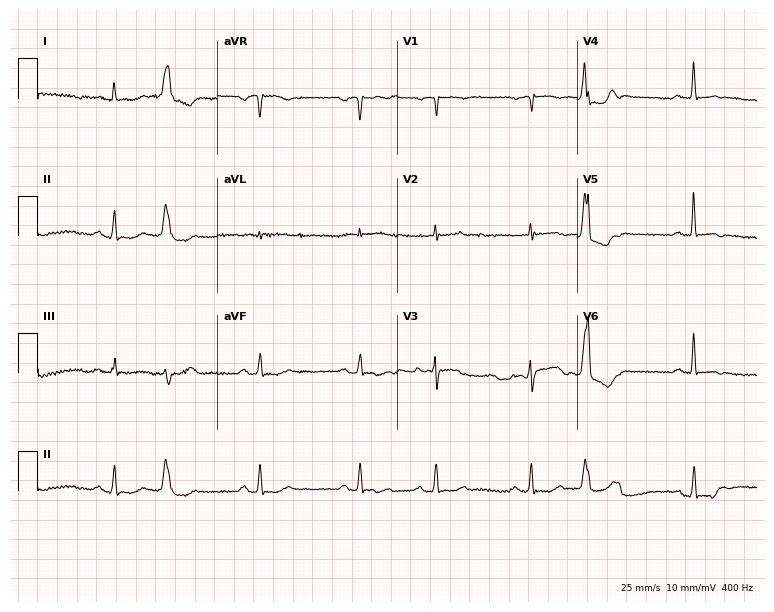
Standard 12-lead ECG recorded from a 71-year-old woman. None of these six findings is recorded: first-degree AV block, right bundle branch block (RBBB), left bundle branch block (LBBB), sinus bradycardia, atrial fibrillation (AF), sinus tachycardia. Other findings, if any, are not listed.